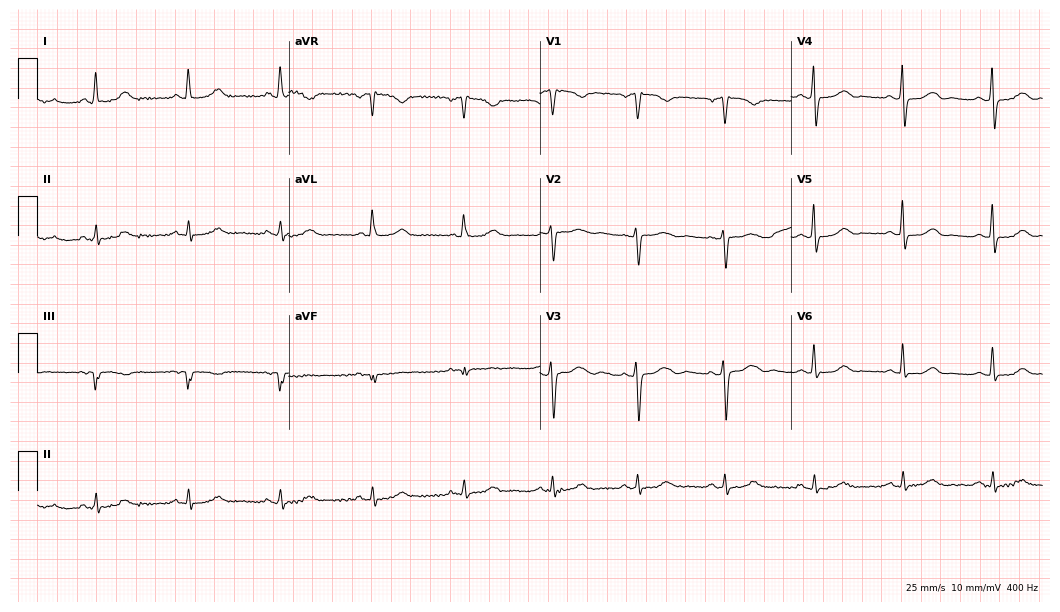
ECG — a 66-year-old woman. Screened for six findings — first-degree AV block, right bundle branch block, left bundle branch block, sinus bradycardia, atrial fibrillation, sinus tachycardia — none is recorded. Findings outside these six are not listed.